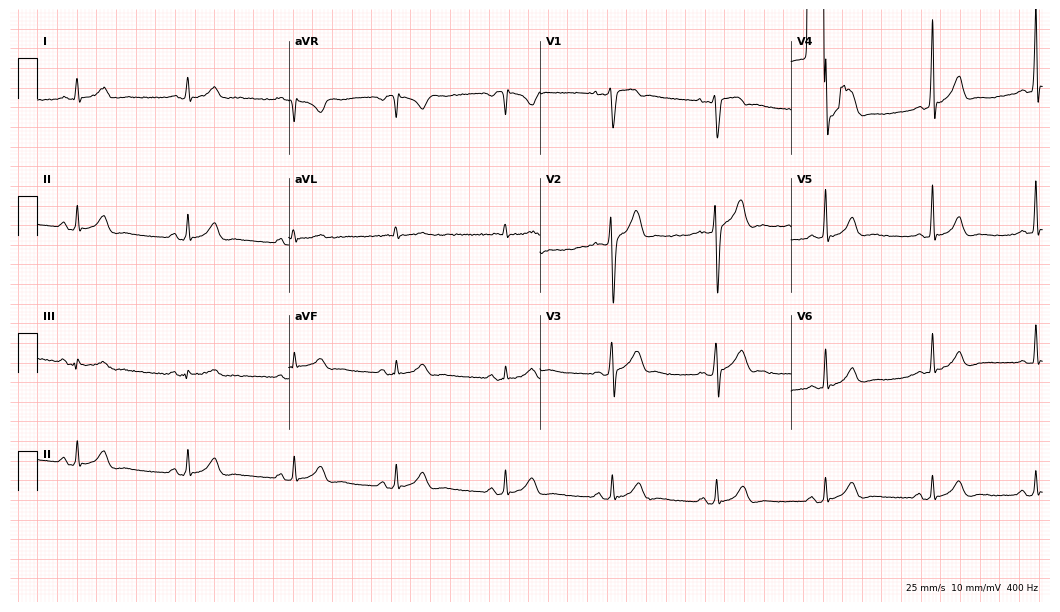
Electrocardiogram (10.2-second recording at 400 Hz), a male patient, 24 years old. Of the six screened findings (first-degree AV block, right bundle branch block, left bundle branch block, sinus bradycardia, atrial fibrillation, sinus tachycardia), none is recorded. Findings outside these six are not listed.